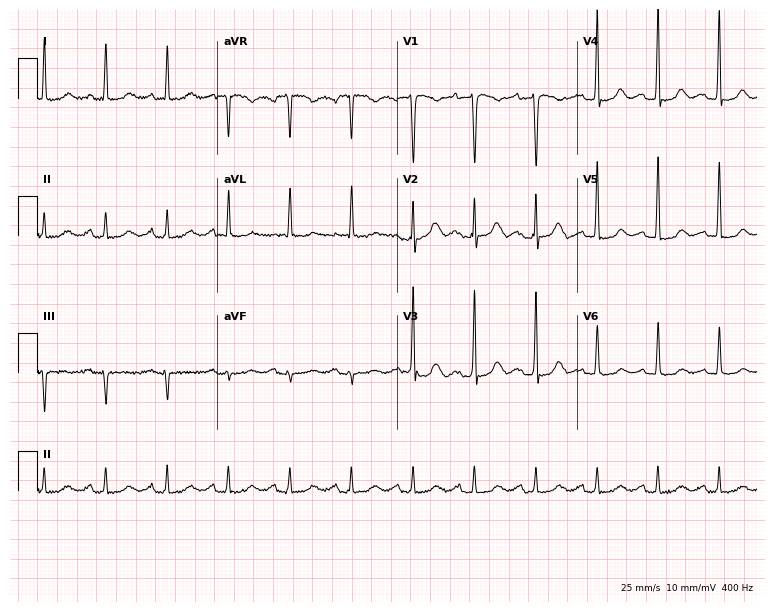
Standard 12-lead ECG recorded from a 74-year-old female patient. None of these six findings is recorded: first-degree AV block, right bundle branch block (RBBB), left bundle branch block (LBBB), sinus bradycardia, atrial fibrillation (AF), sinus tachycardia.